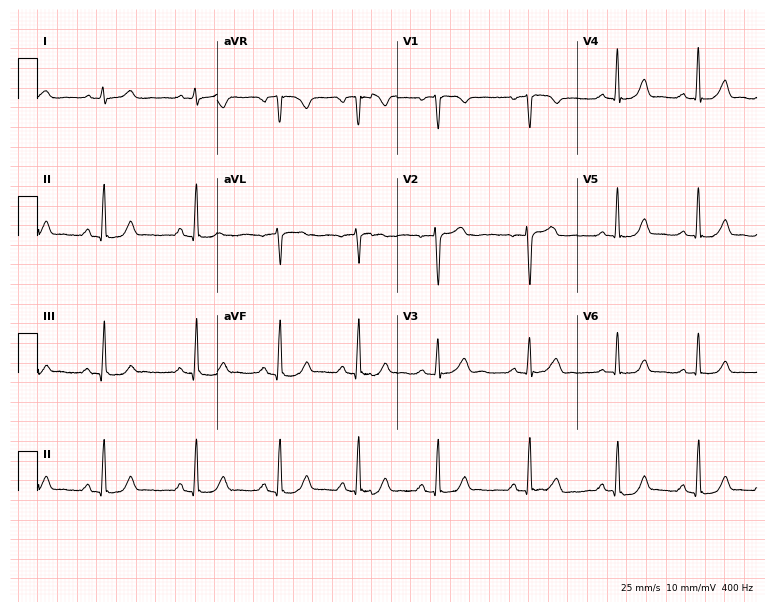
12-lead ECG from a 34-year-old female patient. Labelled as a normal ECG.